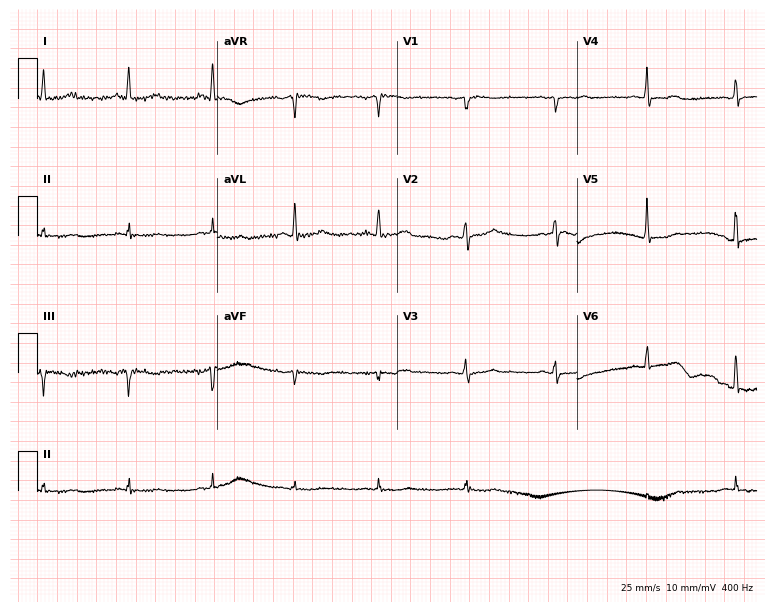
Electrocardiogram (7.3-second recording at 400 Hz), a 49-year-old female patient. Of the six screened findings (first-degree AV block, right bundle branch block (RBBB), left bundle branch block (LBBB), sinus bradycardia, atrial fibrillation (AF), sinus tachycardia), none is recorded.